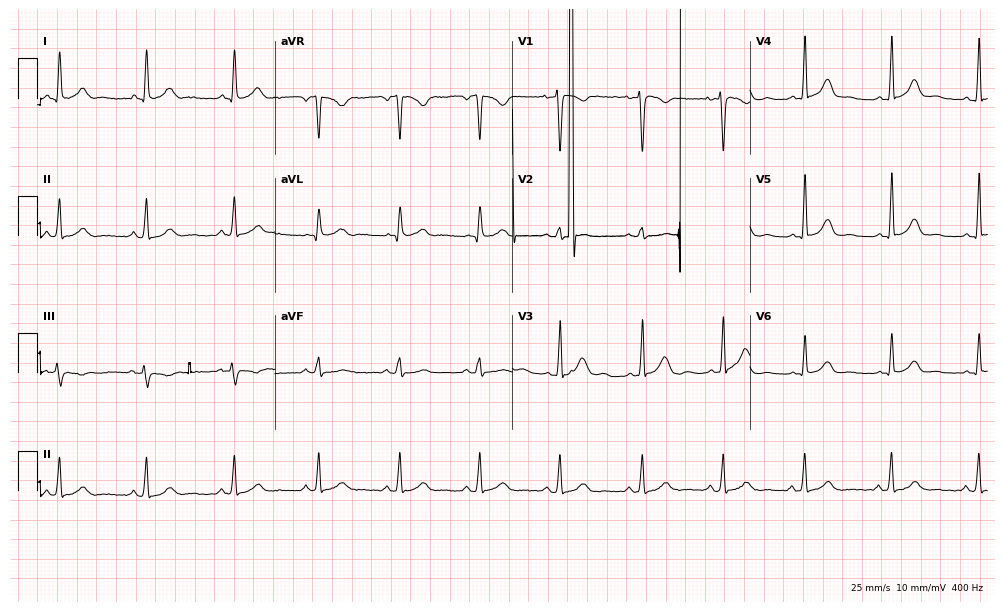
12-lead ECG (9.7-second recording at 400 Hz) from a female patient, 37 years old. Screened for six findings — first-degree AV block, right bundle branch block, left bundle branch block, sinus bradycardia, atrial fibrillation, sinus tachycardia — none is recorded.